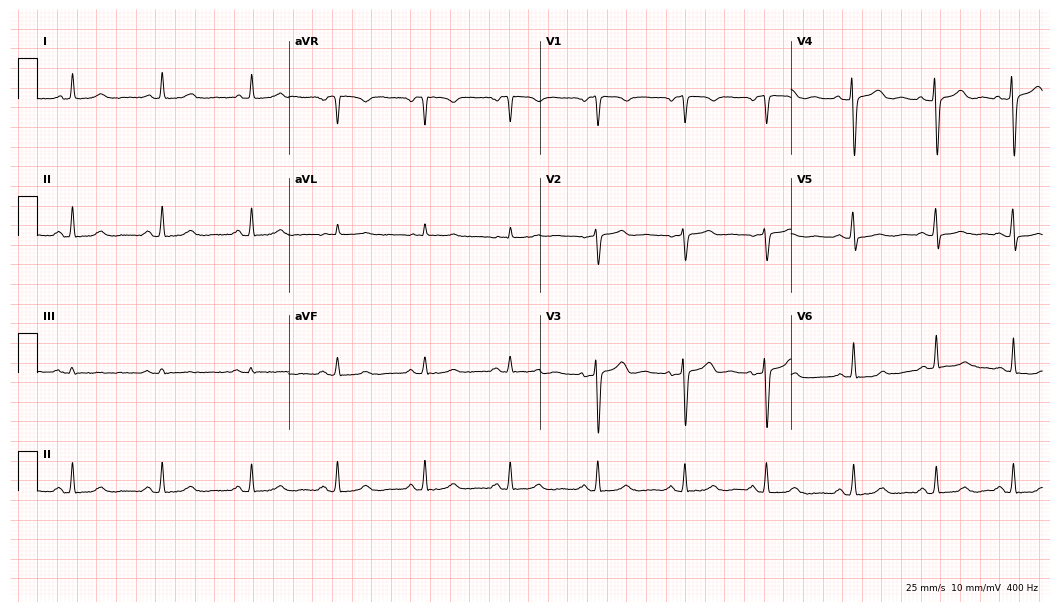
12-lead ECG from a female patient, 35 years old (10.2-second recording at 400 Hz). Recorded interpretation: within normal limits.